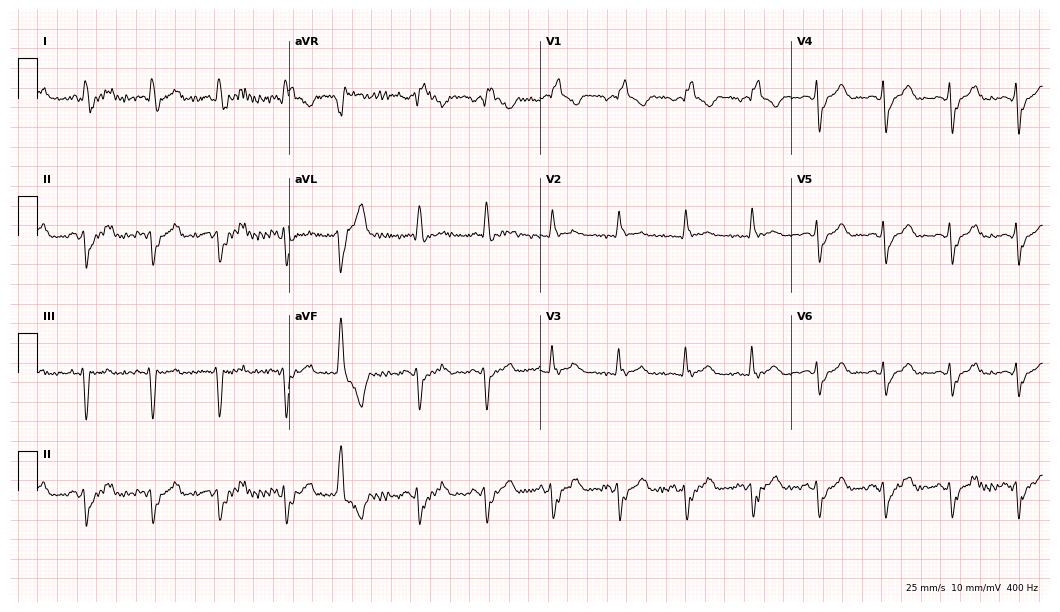
Electrocardiogram (10.2-second recording at 400 Hz), a man, 69 years old. Of the six screened findings (first-degree AV block, right bundle branch block, left bundle branch block, sinus bradycardia, atrial fibrillation, sinus tachycardia), none is recorded.